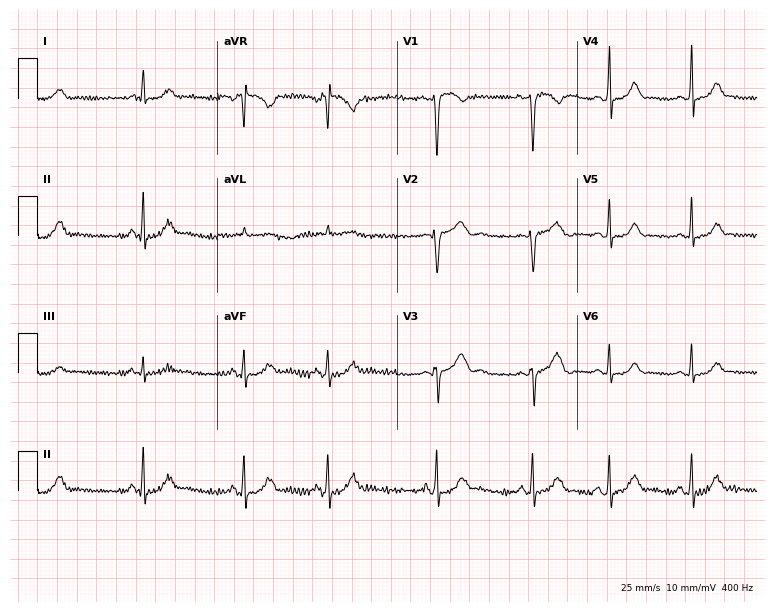
ECG (7.3-second recording at 400 Hz) — a 25-year-old female. Screened for six findings — first-degree AV block, right bundle branch block, left bundle branch block, sinus bradycardia, atrial fibrillation, sinus tachycardia — none is recorded.